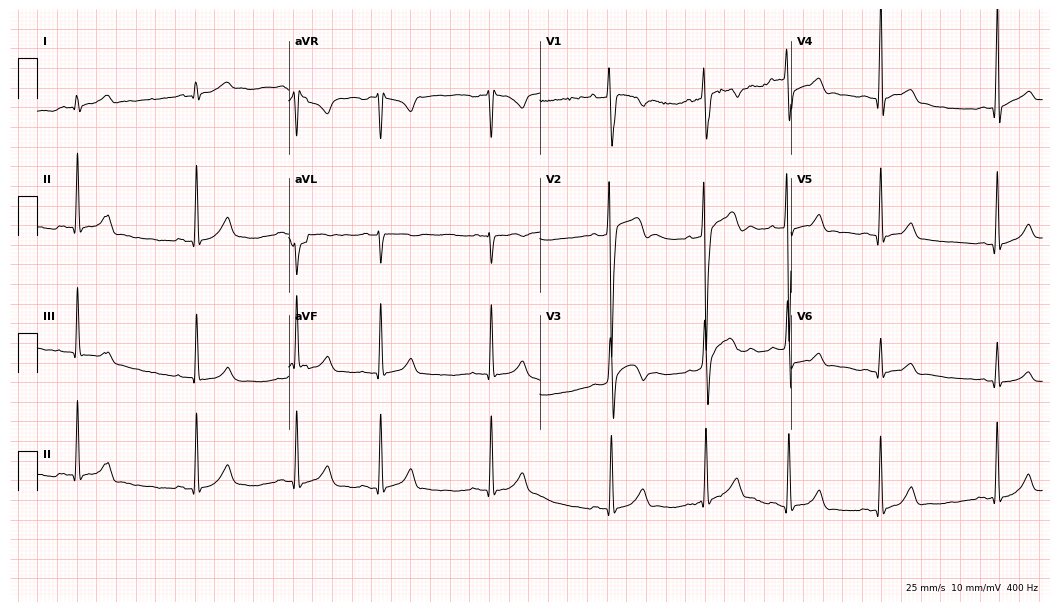
12-lead ECG from a 17-year-old male patient. Labelled as a normal ECG.